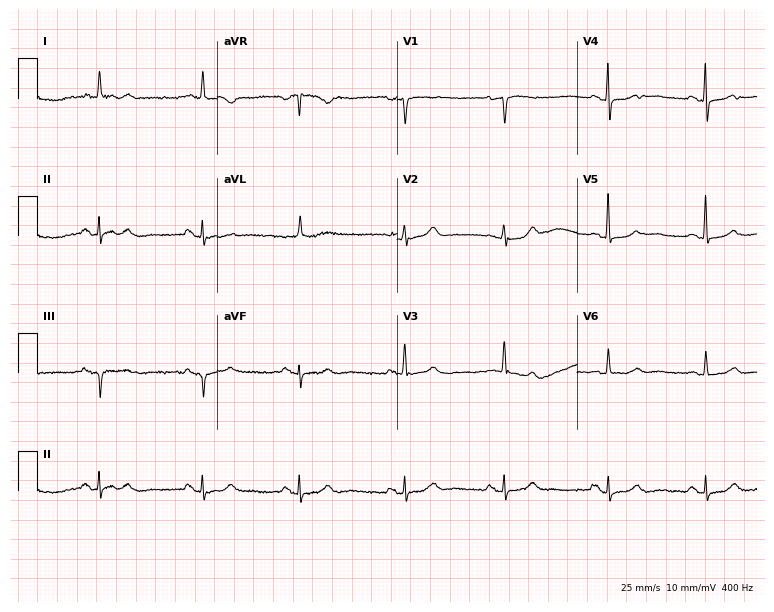
Standard 12-lead ECG recorded from a female, 84 years old. Read as a normal ECG.